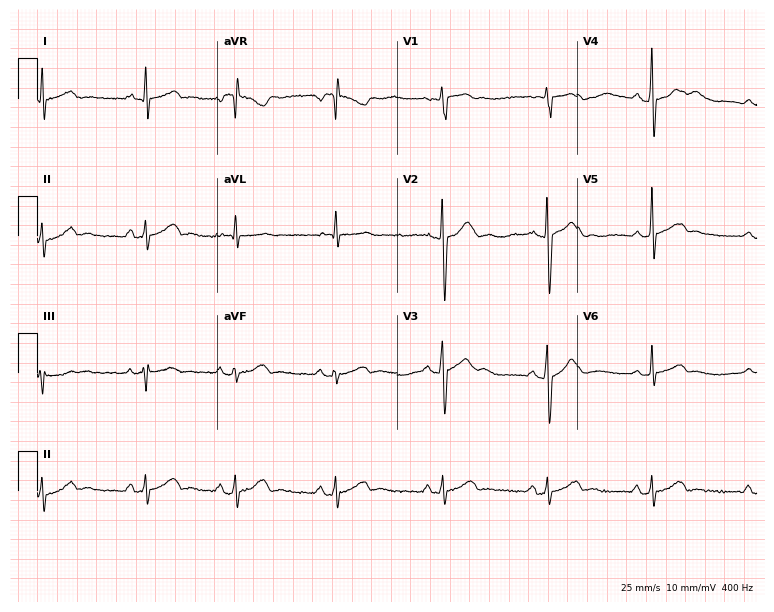
Standard 12-lead ECG recorded from a 20-year-old male patient. Read as a normal ECG.